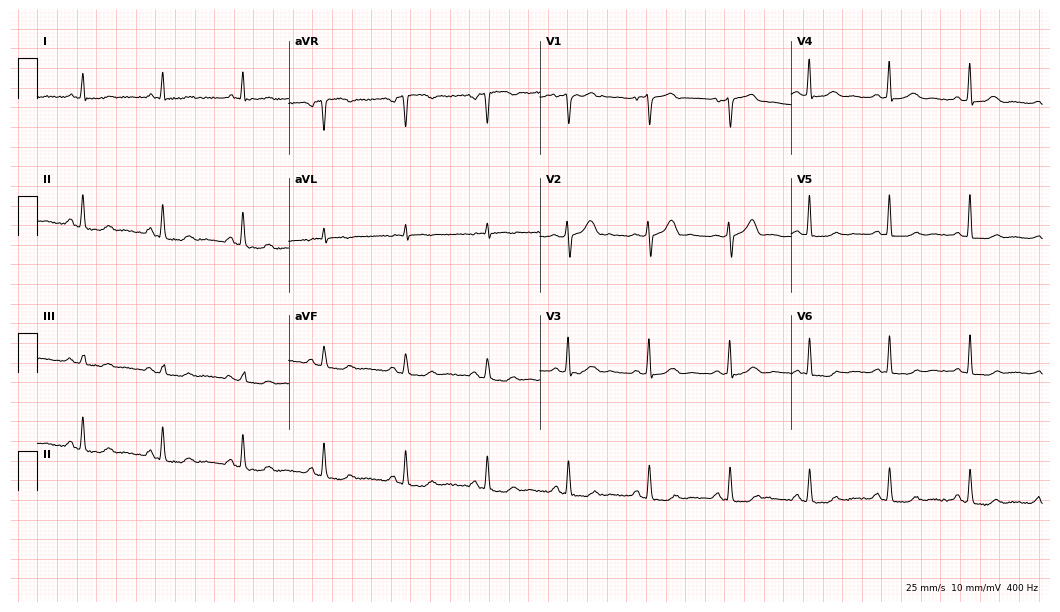
12-lead ECG from a male patient, 57 years old. Recorded interpretation: within normal limits.